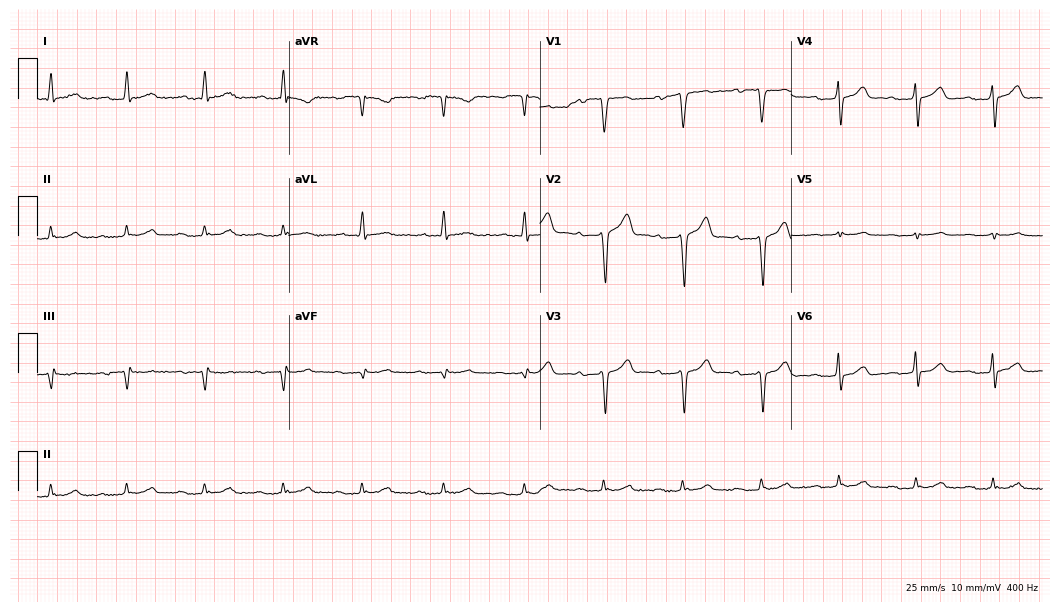
12-lead ECG from a male, 72 years old. Shows first-degree AV block.